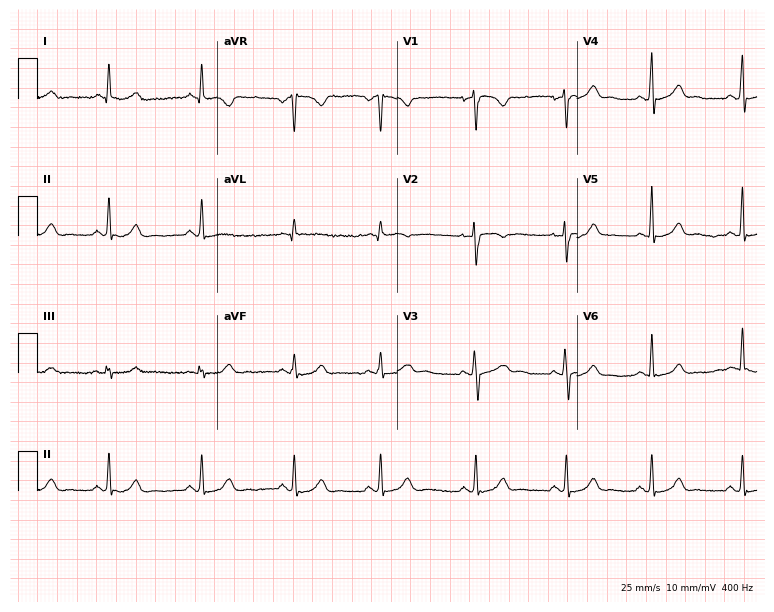
ECG (7.3-second recording at 400 Hz) — a female, 26 years old. Labelled as a normal ECG.